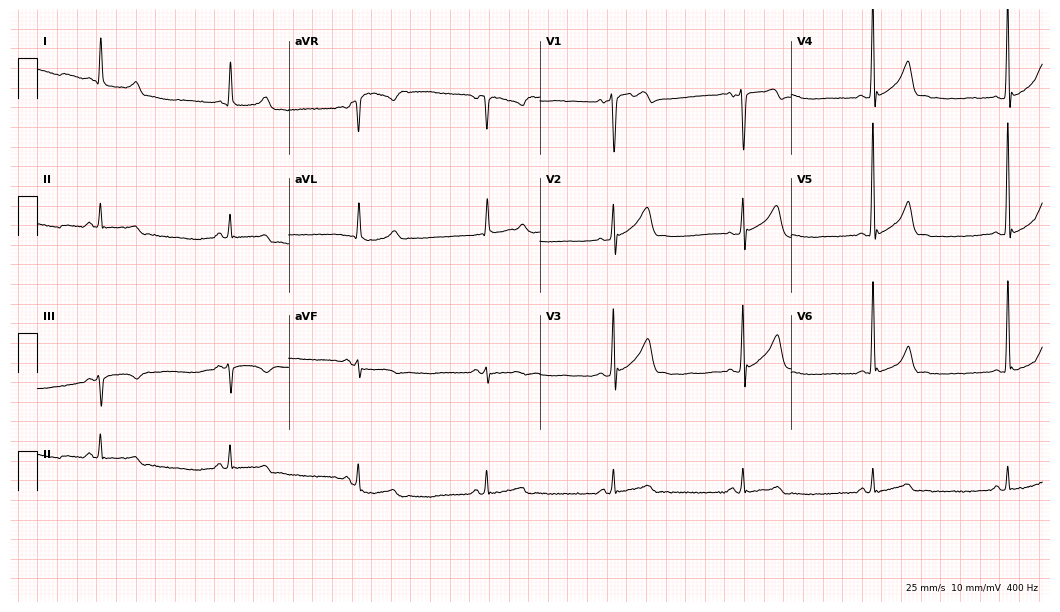
Electrocardiogram, a male patient, 56 years old. Interpretation includes sinus bradycardia (a sinus rate of 50 beats per minute or less).